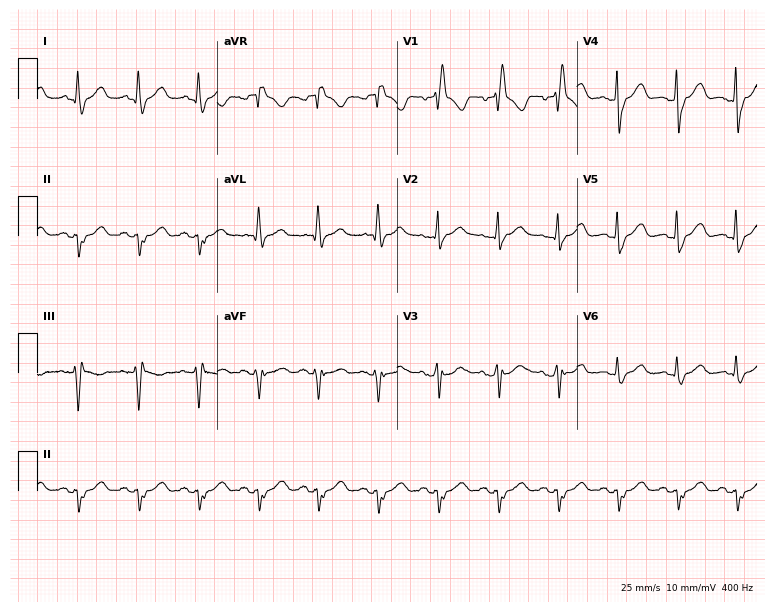
Resting 12-lead electrocardiogram (7.3-second recording at 400 Hz). Patient: a 75-year-old male. The tracing shows right bundle branch block (RBBB).